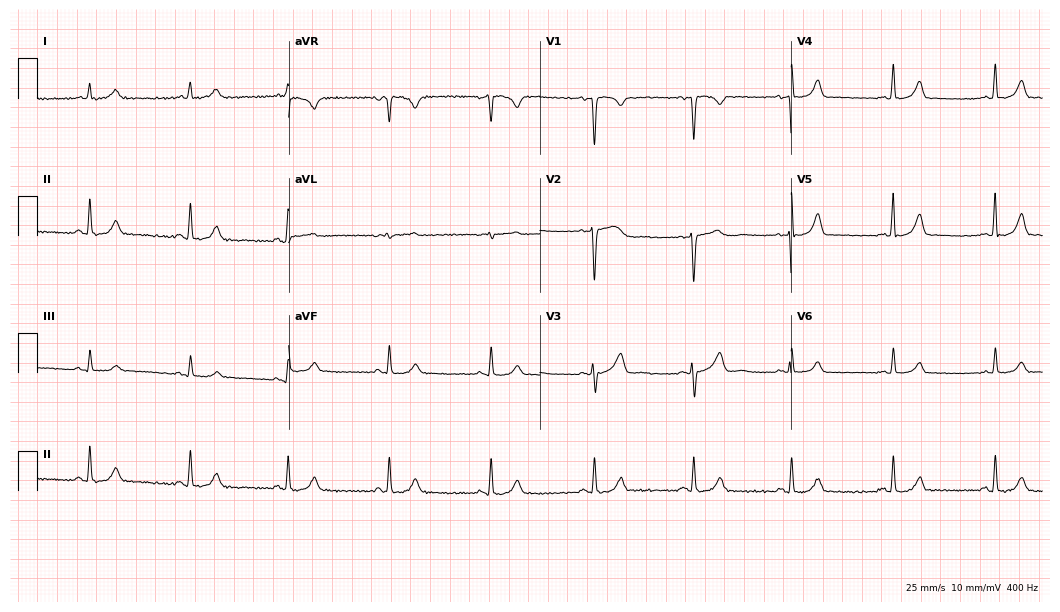
Standard 12-lead ECG recorded from a 42-year-old female (10.2-second recording at 400 Hz). None of these six findings is recorded: first-degree AV block, right bundle branch block, left bundle branch block, sinus bradycardia, atrial fibrillation, sinus tachycardia. Only these six findings were labelled.